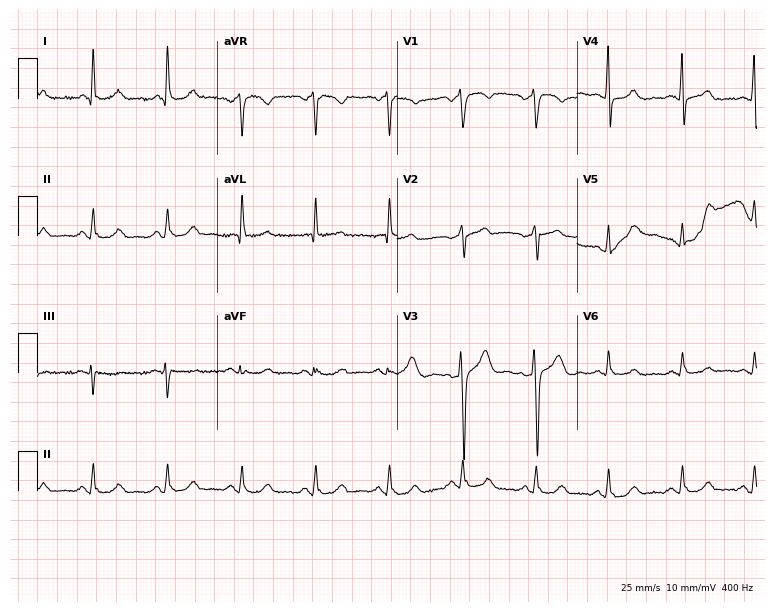
12-lead ECG from a 59-year-old female patient. Recorded interpretation: within normal limits.